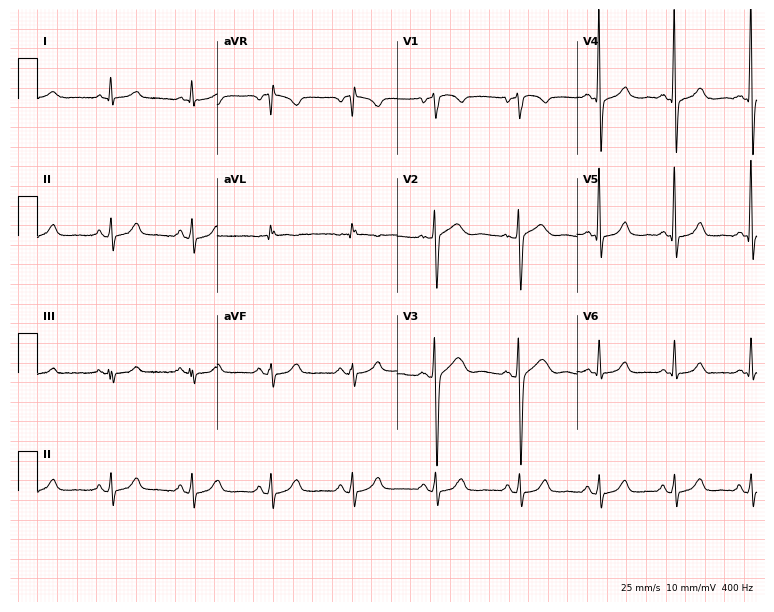
12-lead ECG from a male, 50 years old. Labelled as a normal ECG.